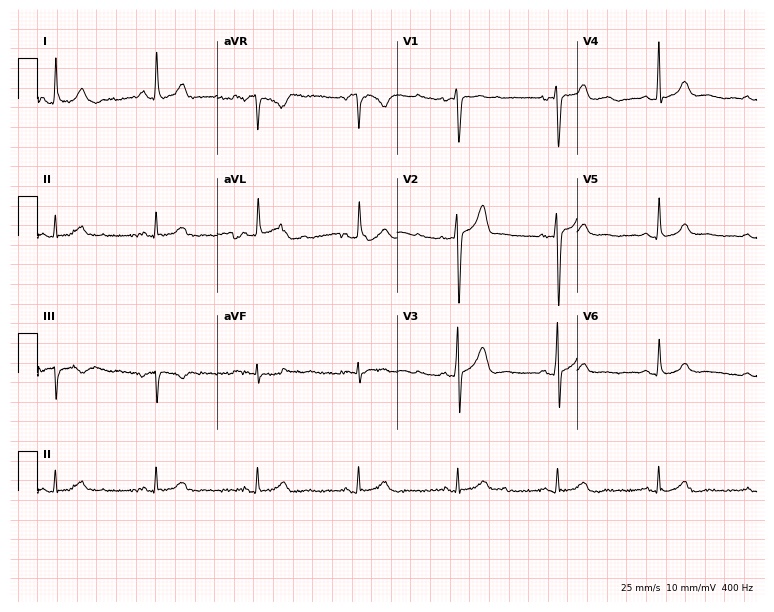
Standard 12-lead ECG recorded from a male patient, 43 years old. Read as a normal ECG.